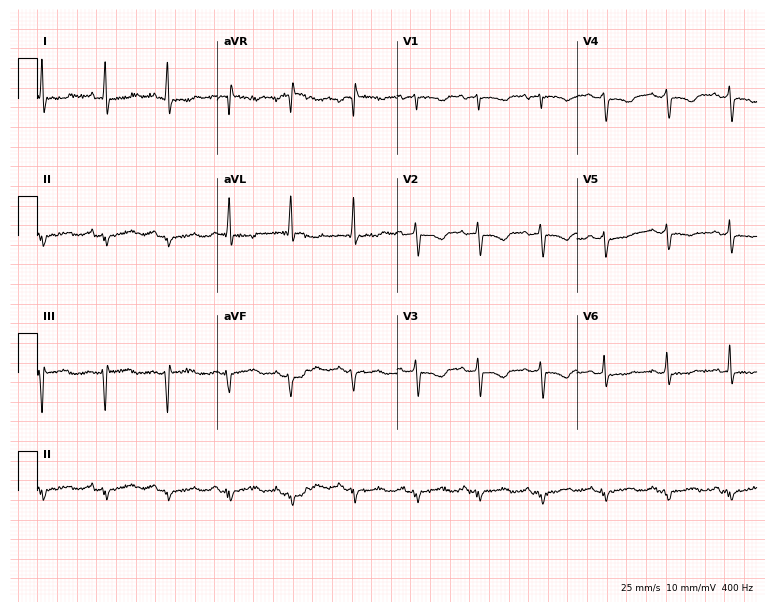
ECG (7.3-second recording at 400 Hz) — a 68-year-old man. Screened for six findings — first-degree AV block, right bundle branch block, left bundle branch block, sinus bradycardia, atrial fibrillation, sinus tachycardia — none is recorded.